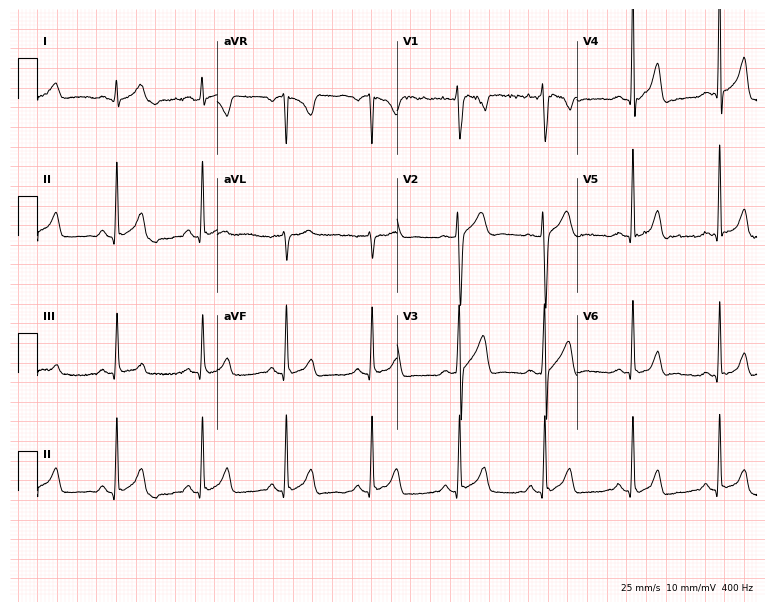
Electrocardiogram, a 21-year-old male patient. Overall reading on record: normal ECG.